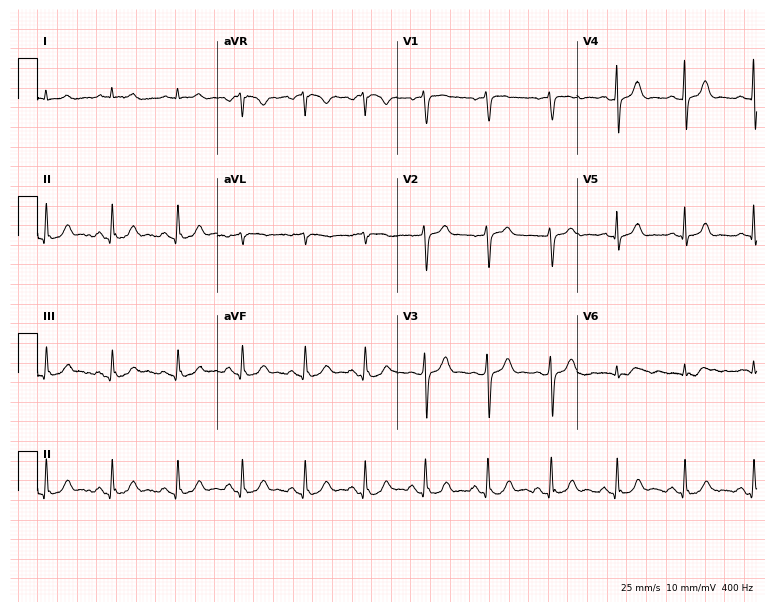
Electrocardiogram (7.3-second recording at 400 Hz), a man, 33 years old. Of the six screened findings (first-degree AV block, right bundle branch block, left bundle branch block, sinus bradycardia, atrial fibrillation, sinus tachycardia), none is recorded.